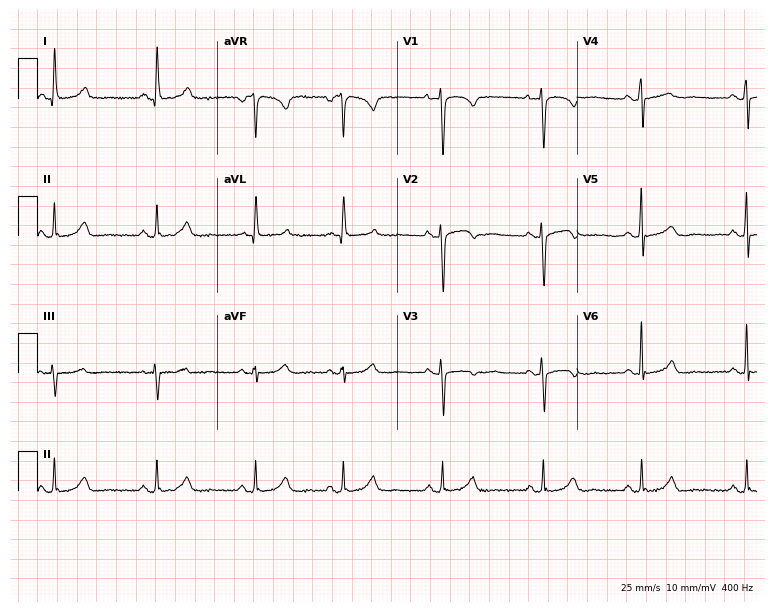
Electrocardiogram, a 40-year-old woman. Overall reading on record: normal ECG.